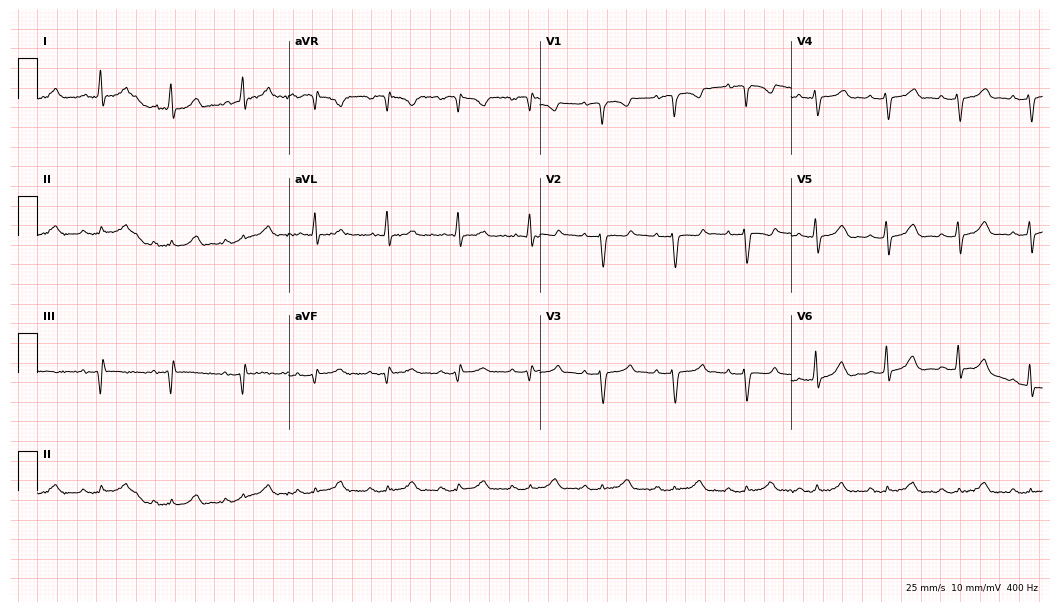
12-lead ECG from a man, 56 years old. Screened for six findings — first-degree AV block, right bundle branch block, left bundle branch block, sinus bradycardia, atrial fibrillation, sinus tachycardia — none is recorded. Other findings, if any, are not listed.